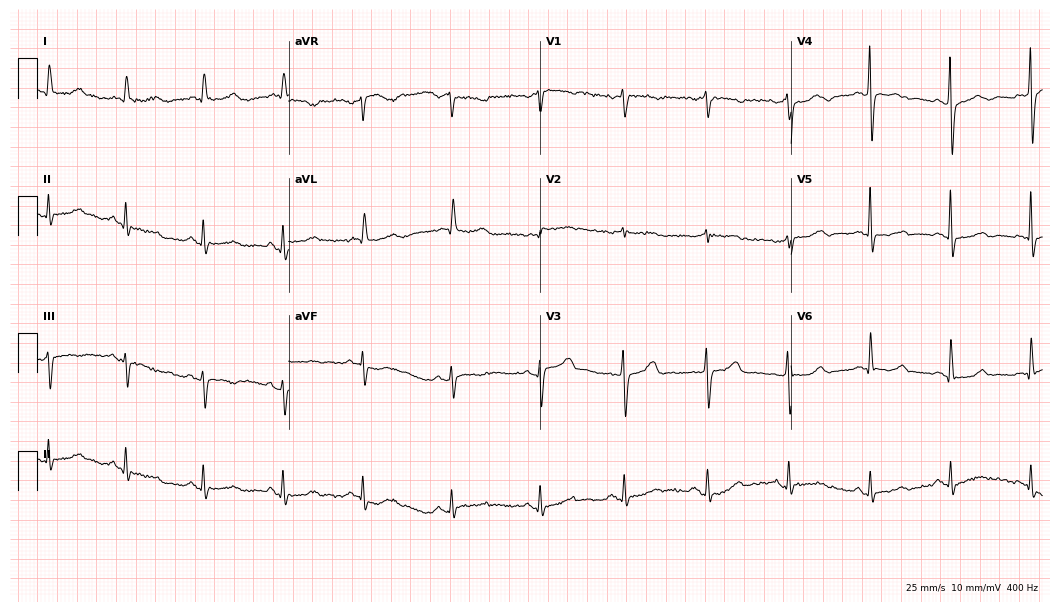
ECG (10.2-second recording at 400 Hz) — a 66-year-old woman. Screened for six findings — first-degree AV block, right bundle branch block, left bundle branch block, sinus bradycardia, atrial fibrillation, sinus tachycardia — none is recorded.